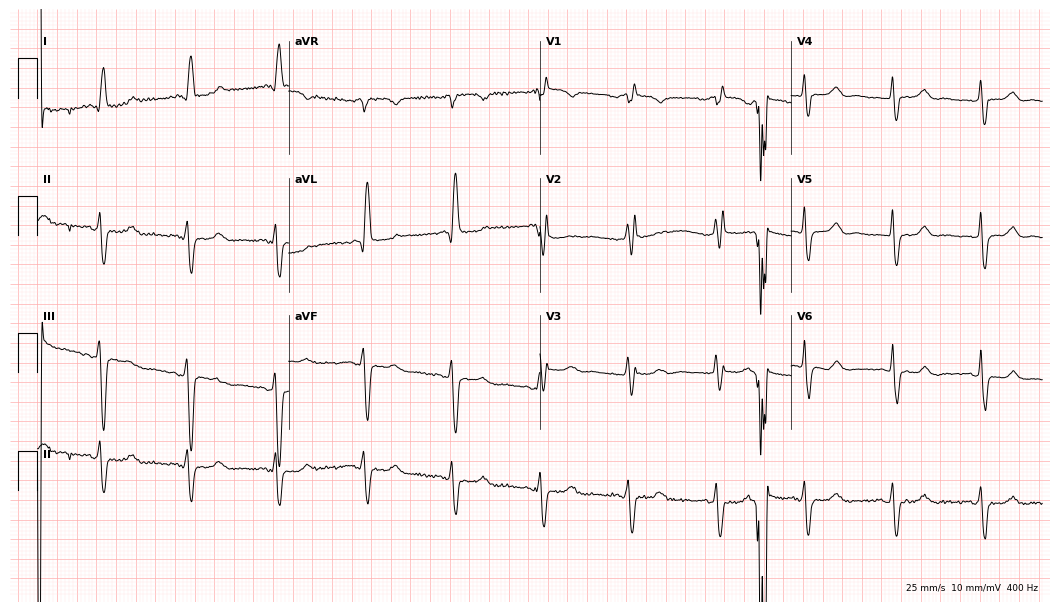
Electrocardiogram (10.2-second recording at 400 Hz), a 73-year-old female patient. Of the six screened findings (first-degree AV block, right bundle branch block (RBBB), left bundle branch block (LBBB), sinus bradycardia, atrial fibrillation (AF), sinus tachycardia), none is recorded. Only these six findings were labelled.